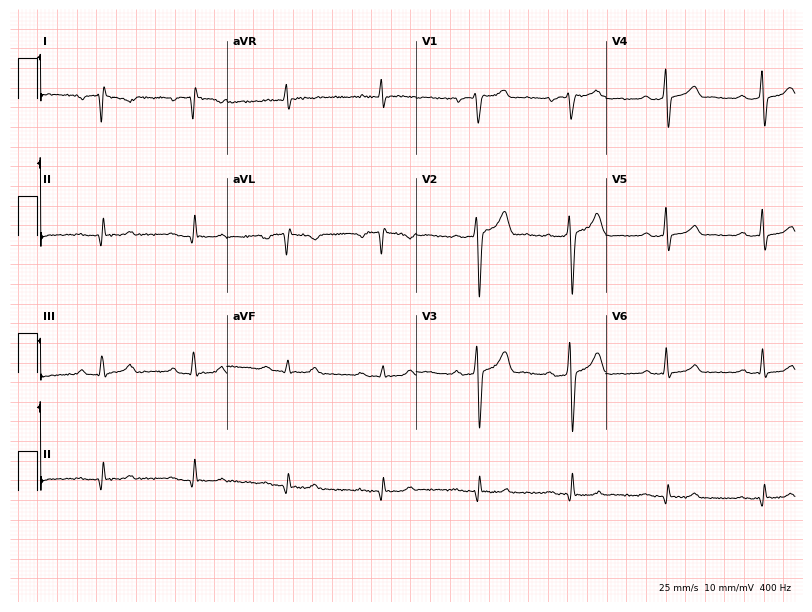
12-lead ECG (7.7-second recording at 400 Hz) from a 54-year-old male patient. Findings include first-degree AV block.